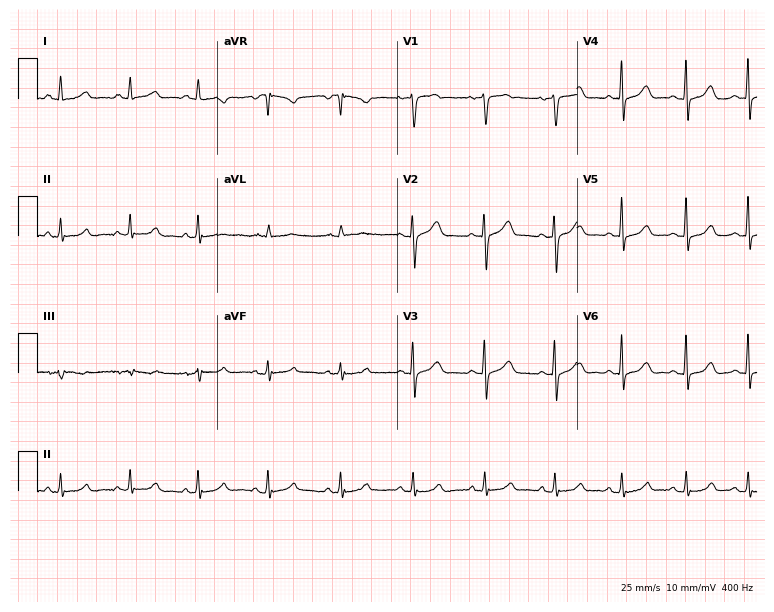
ECG (7.3-second recording at 400 Hz) — a 50-year-old female. Labelled as a normal ECG.